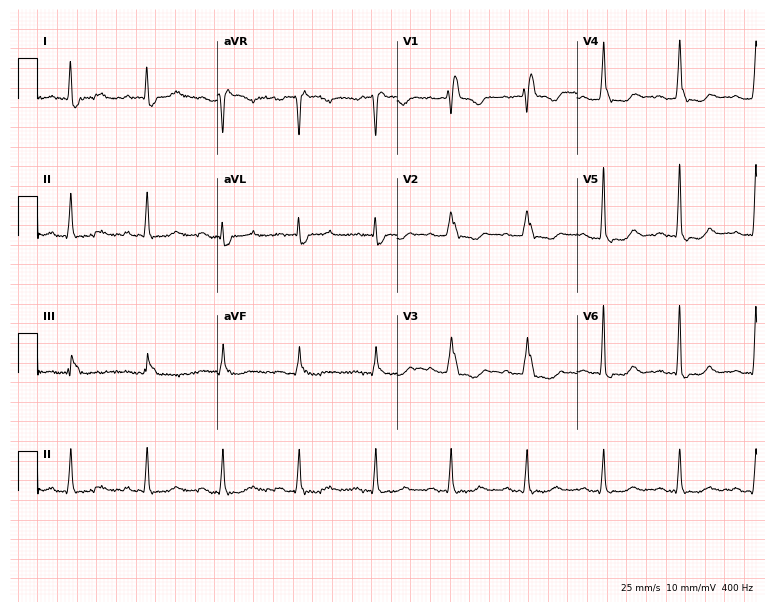
12-lead ECG from a 66-year-old female patient (7.3-second recording at 400 Hz). Shows right bundle branch block (RBBB).